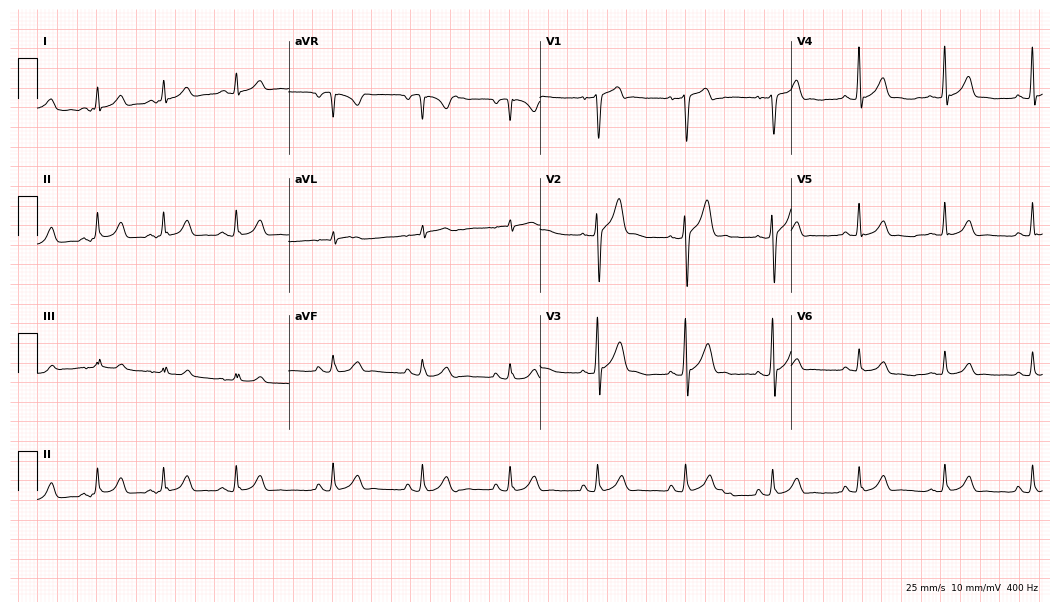
Resting 12-lead electrocardiogram (10.2-second recording at 400 Hz). Patient: a 24-year-old male. Read as a normal ECG.